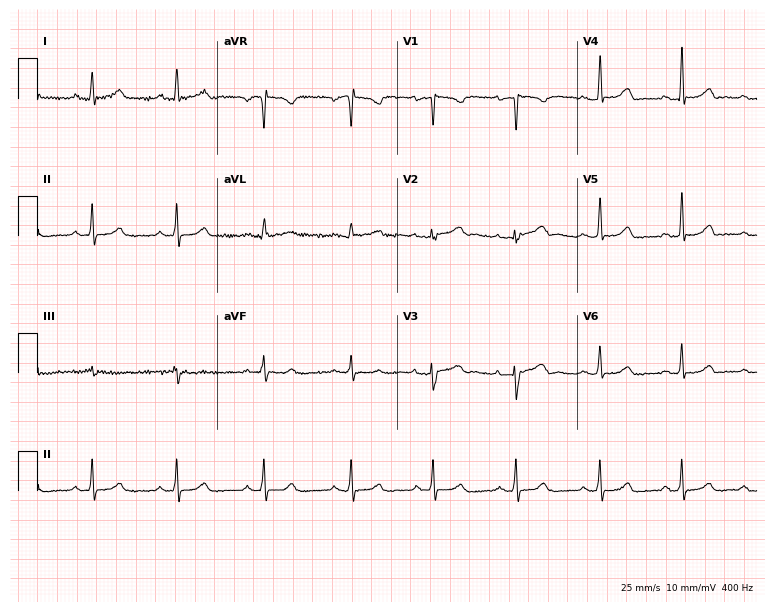
ECG (7.3-second recording at 400 Hz) — a female, 48 years old. Labelled as a normal ECG.